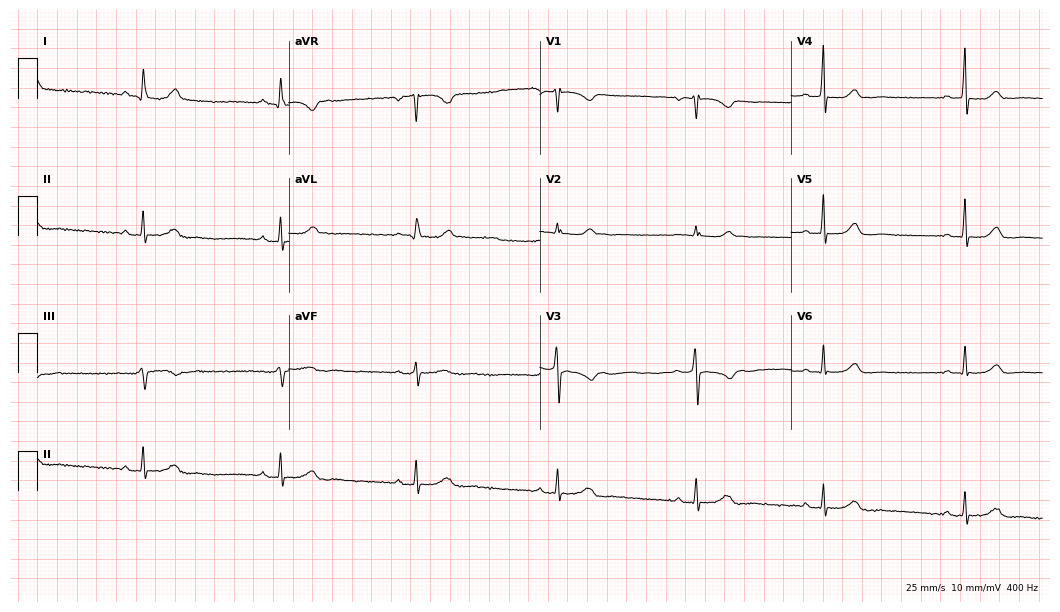
12-lead ECG from a woman, 56 years old (10.2-second recording at 400 Hz). No first-degree AV block, right bundle branch block (RBBB), left bundle branch block (LBBB), sinus bradycardia, atrial fibrillation (AF) or sinus tachycardia recorded for this tracing.